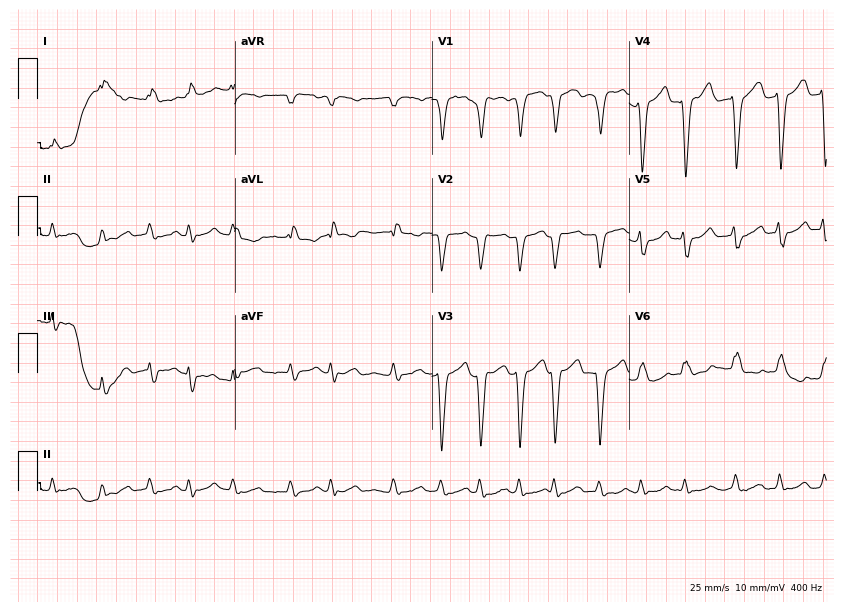
12-lead ECG from a 73-year-old female patient (8-second recording at 400 Hz). Shows left bundle branch block (LBBB), atrial fibrillation (AF).